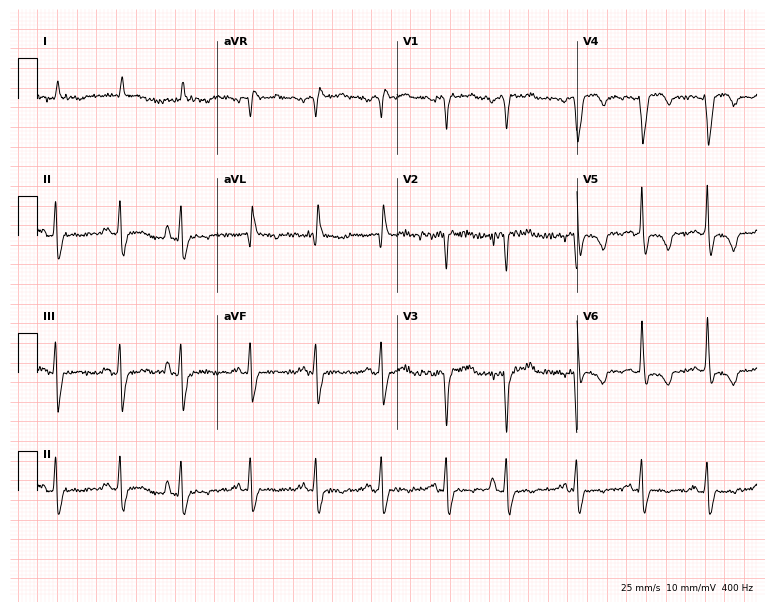
Standard 12-lead ECG recorded from a male patient, 80 years old (7.3-second recording at 400 Hz). None of these six findings is recorded: first-degree AV block, right bundle branch block, left bundle branch block, sinus bradycardia, atrial fibrillation, sinus tachycardia.